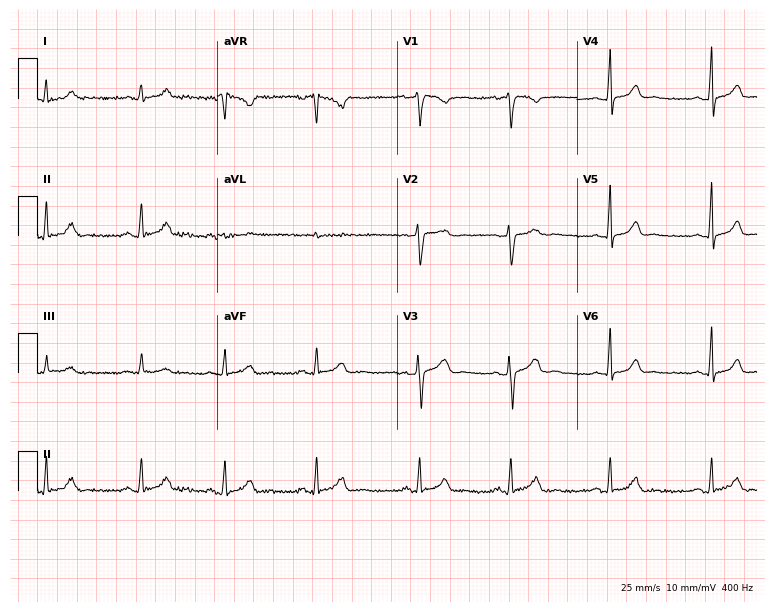
12-lead ECG from a woman, 21 years old (7.3-second recording at 400 Hz). No first-degree AV block, right bundle branch block, left bundle branch block, sinus bradycardia, atrial fibrillation or sinus tachycardia recorded for this tracing. Findings outside these six are not listed.